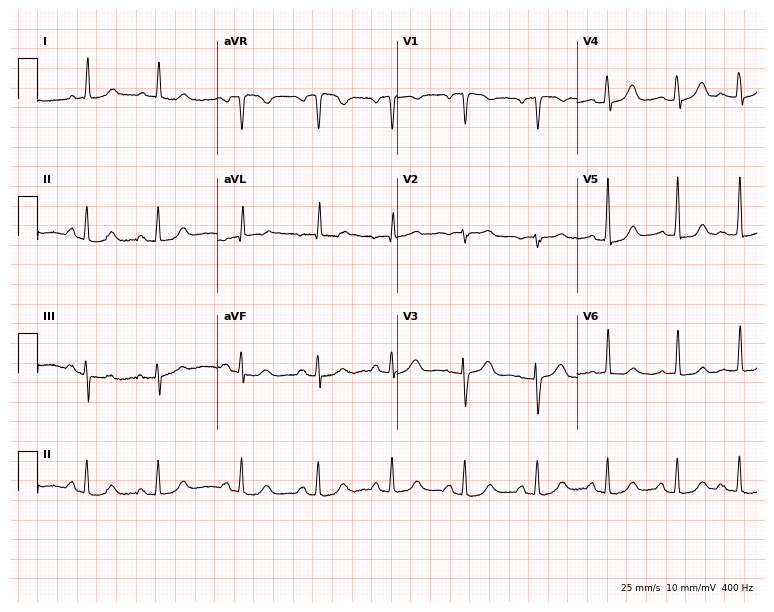
Standard 12-lead ECG recorded from a 76-year-old female (7.3-second recording at 400 Hz). Read as a normal ECG.